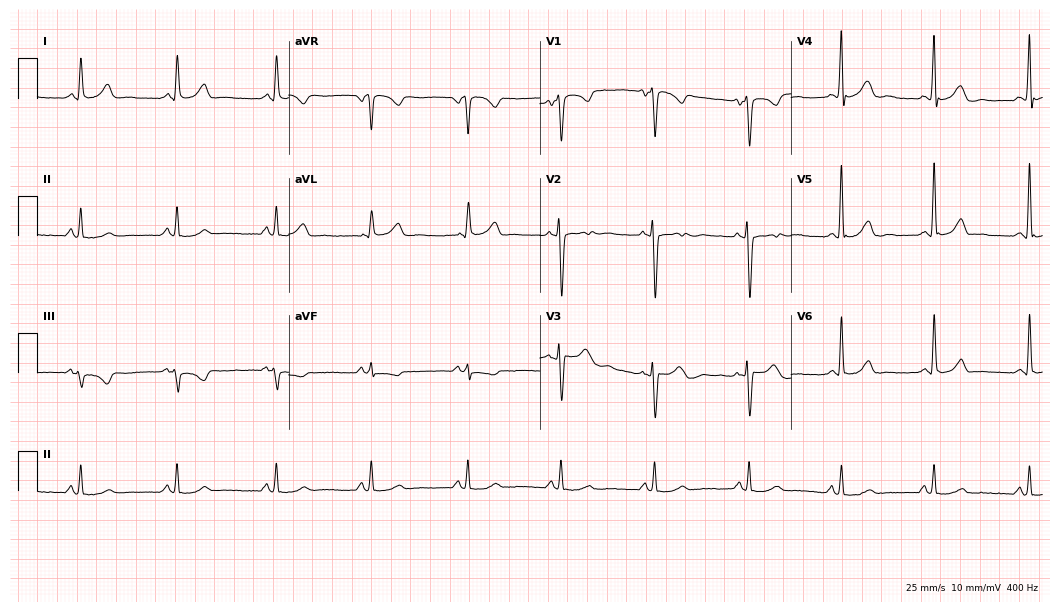
Resting 12-lead electrocardiogram (10.2-second recording at 400 Hz). Patient: a male, 48 years old. Read as a normal ECG.